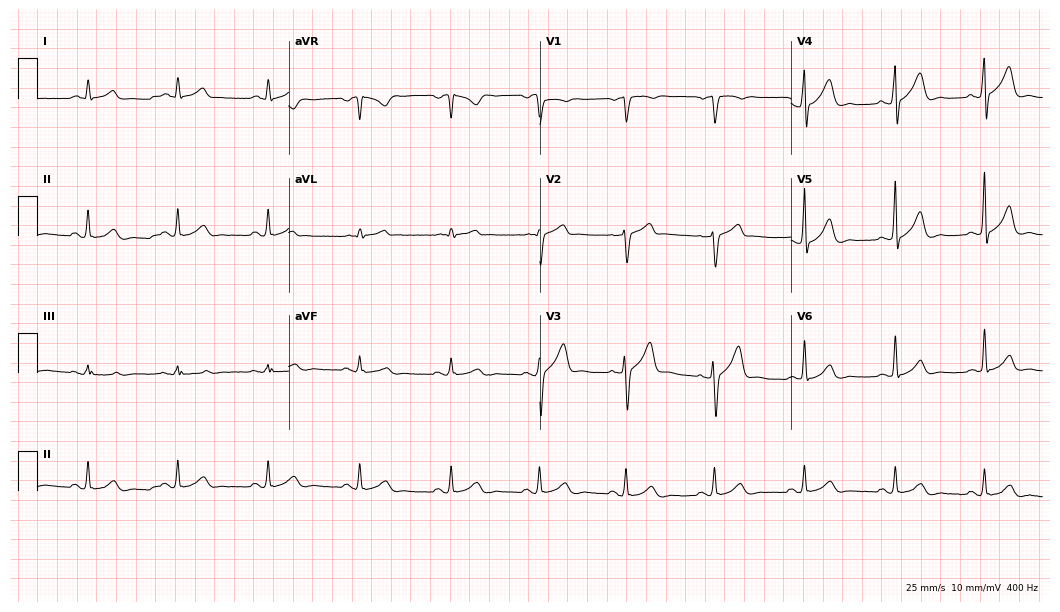
12-lead ECG (10.2-second recording at 400 Hz) from a male patient, 55 years old. Labelled as a normal ECG.